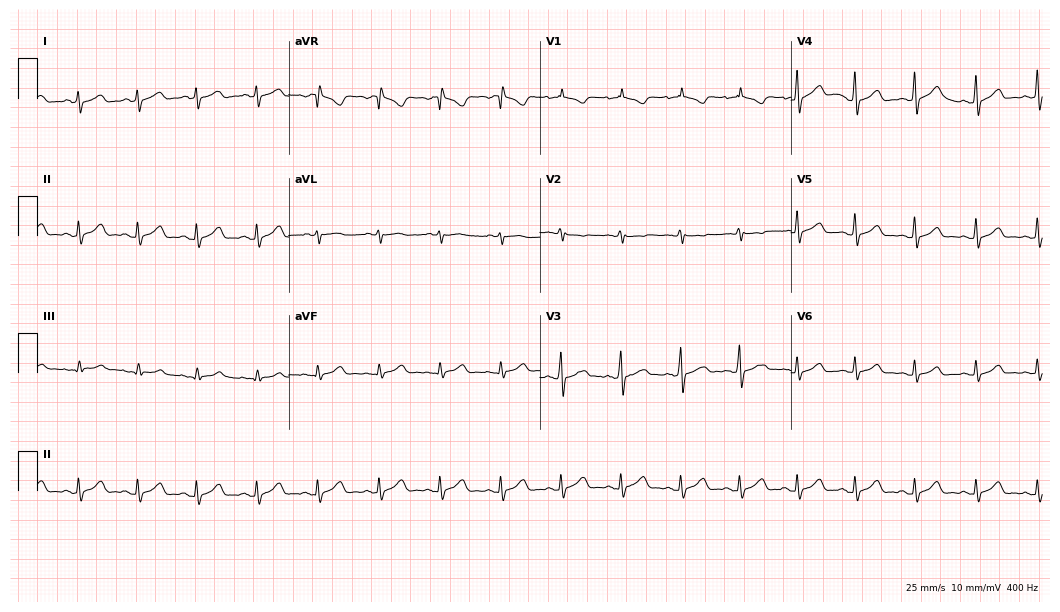
12-lead ECG from a male, 33 years old (10.2-second recording at 400 Hz). Recorded interpretation: within normal limits.